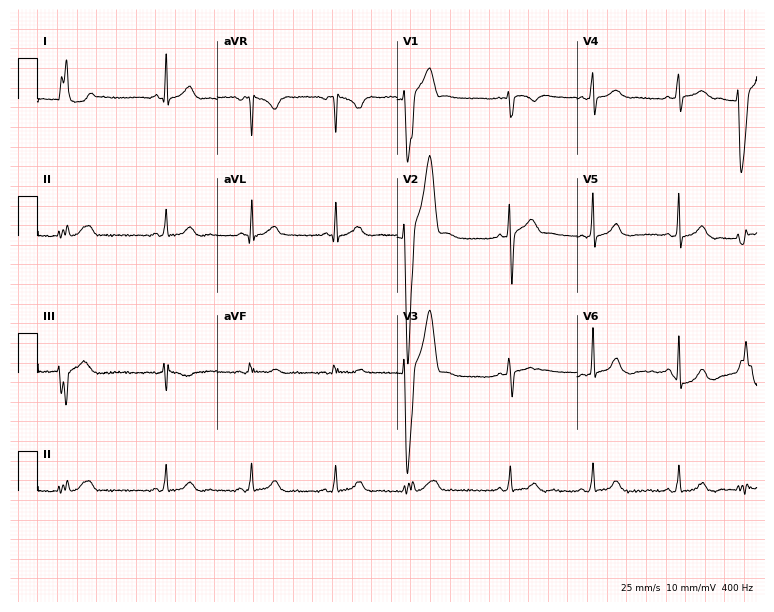
12-lead ECG (7.3-second recording at 400 Hz) from a 29-year-old female. Screened for six findings — first-degree AV block, right bundle branch block, left bundle branch block, sinus bradycardia, atrial fibrillation, sinus tachycardia — none is recorded. Findings outside these six are not listed.